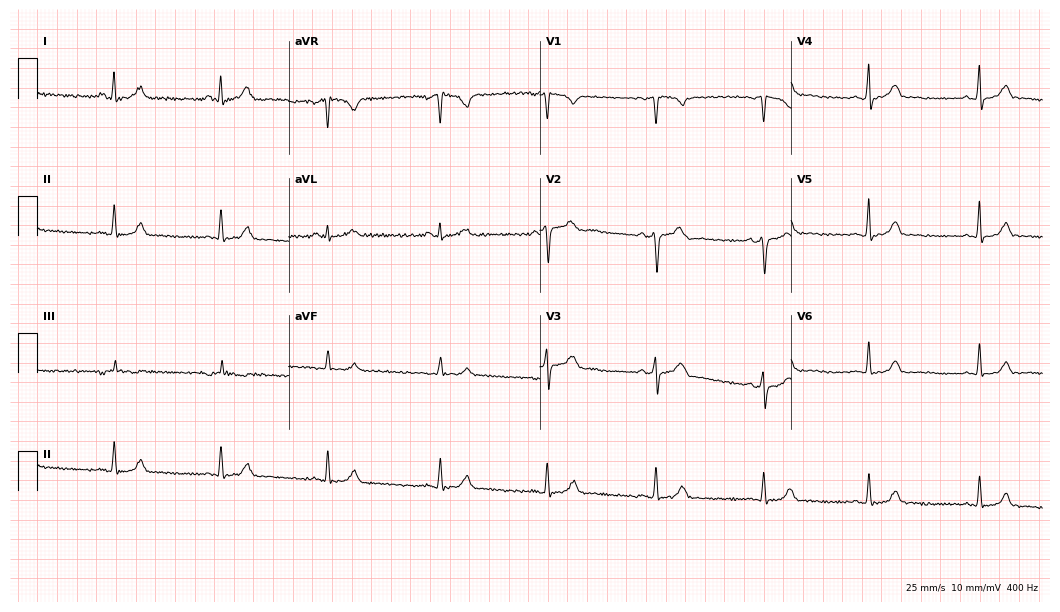
Resting 12-lead electrocardiogram (10.2-second recording at 400 Hz). Patient: a female, 38 years old. Read as a normal ECG.